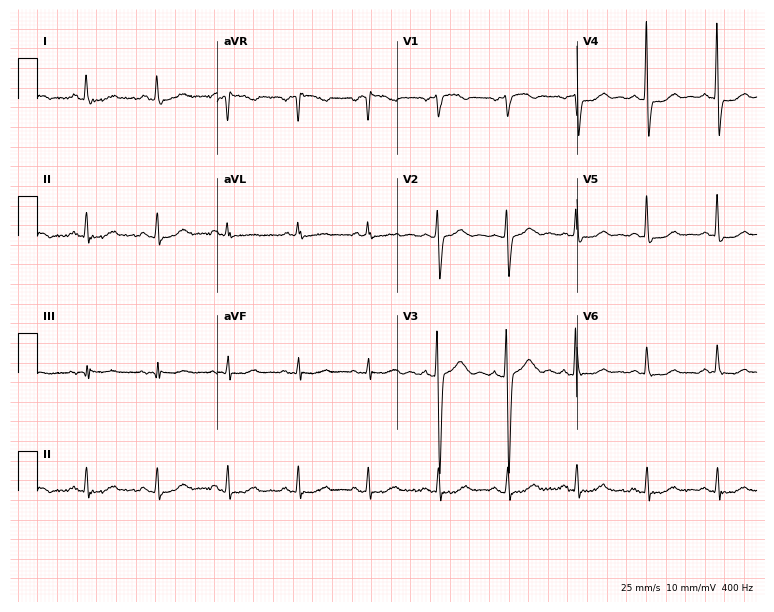
Electrocardiogram (7.3-second recording at 400 Hz), a female patient, 53 years old. Of the six screened findings (first-degree AV block, right bundle branch block, left bundle branch block, sinus bradycardia, atrial fibrillation, sinus tachycardia), none is recorded.